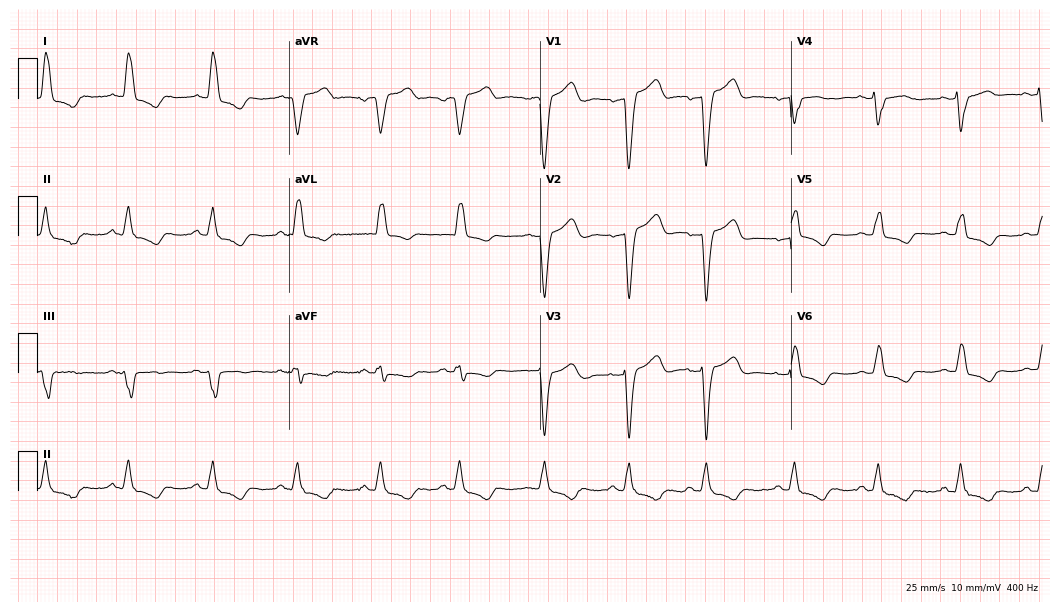
Resting 12-lead electrocardiogram (10.2-second recording at 400 Hz). Patient: a 73-year-old woman. The tracing shows left bundle branch block.